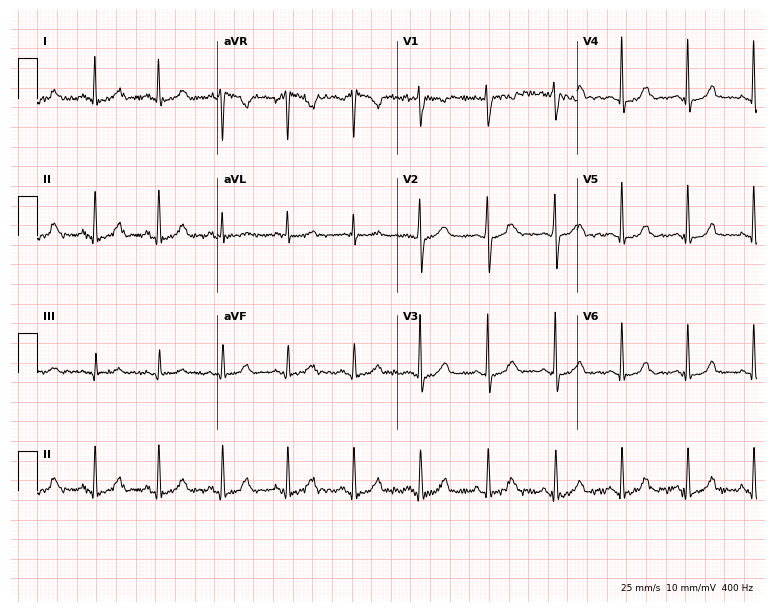
ECG (7.3-second recording at 400 Hz) — a female, 41 years old. Screened for six findings — first-degree AV block, right bundle branch block, left bundle branch block, sinus bradycardia, atrial fibrillation, sinus tachycardia — none is recorded. Other findings, if any, are not listed.